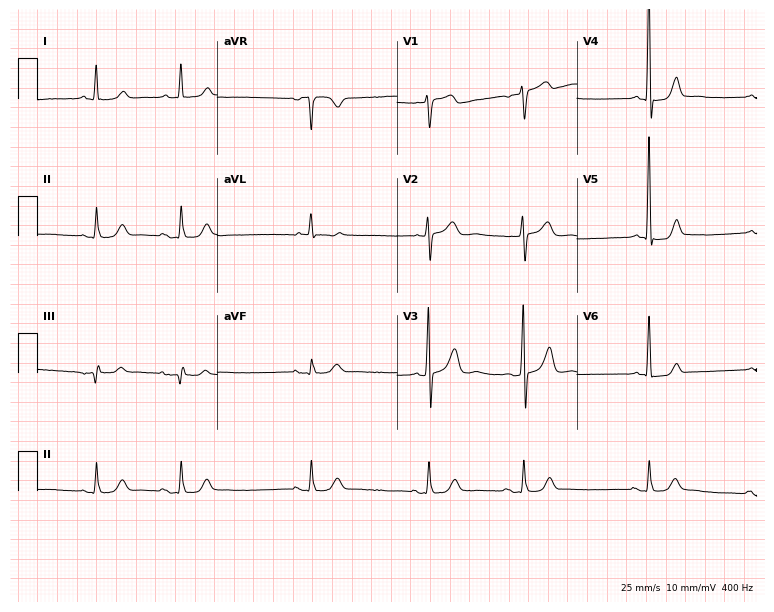
12-lead ECG from a male patient, 72 years old. No first-degree AV block, right bundle branch block (RBBB), left bundle branch block (LBBB), sinus bradycardia, atrial fibrillation (AF) or sinus tachycardia recorded for this tracing. Only these six findings were labelled.